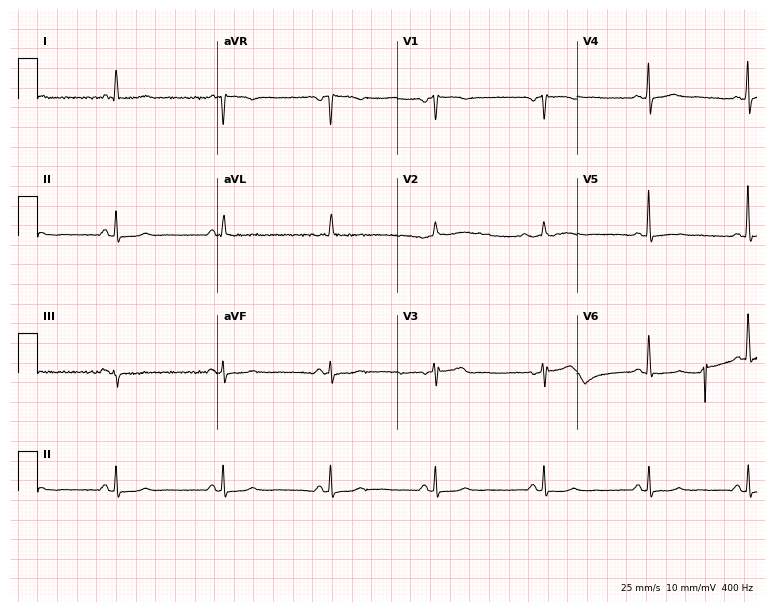
Standard 12-lead ECG recorded from a woman, 61 years old (7.3-second recording at 400 Hz). None of these six findings is recorded: first-degree AV block, right bundle branch block, left bundle branch block, sinus bradycardia, atrial fibrillation, sinus tachycardia. Other findings, if any, are not listed.